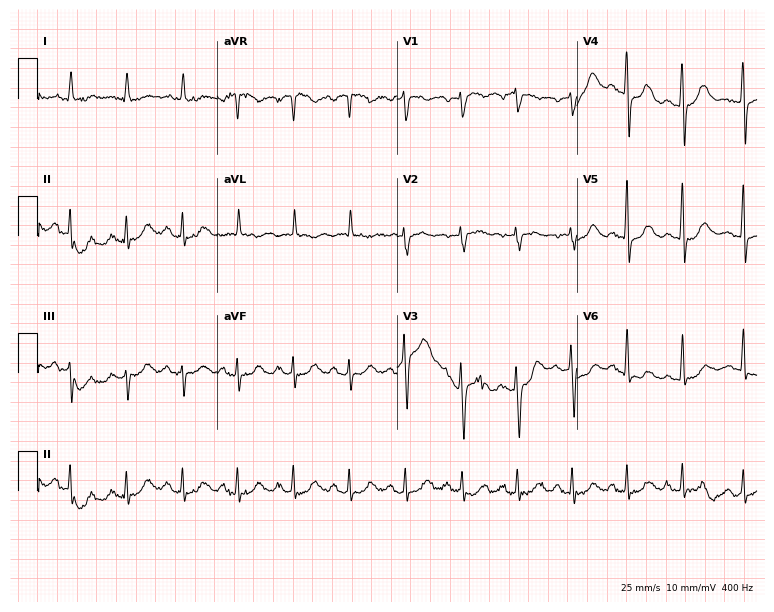
ECG — an 81-year-old female. Findings include sinus tachycardia (a sinus rate of 100 beats per minute or more).